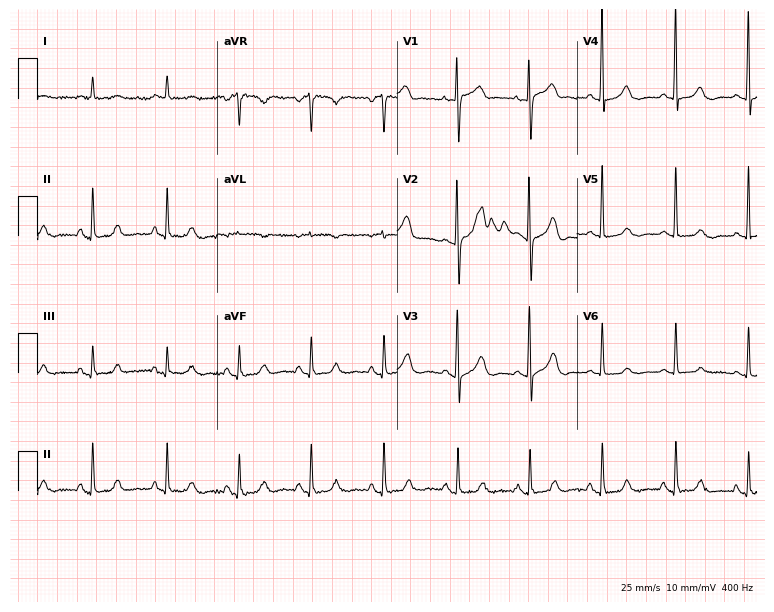
ECG (7.3-second recording at 400 Hz) — a female patient, 81 years old. Labelled as a normal ECG.